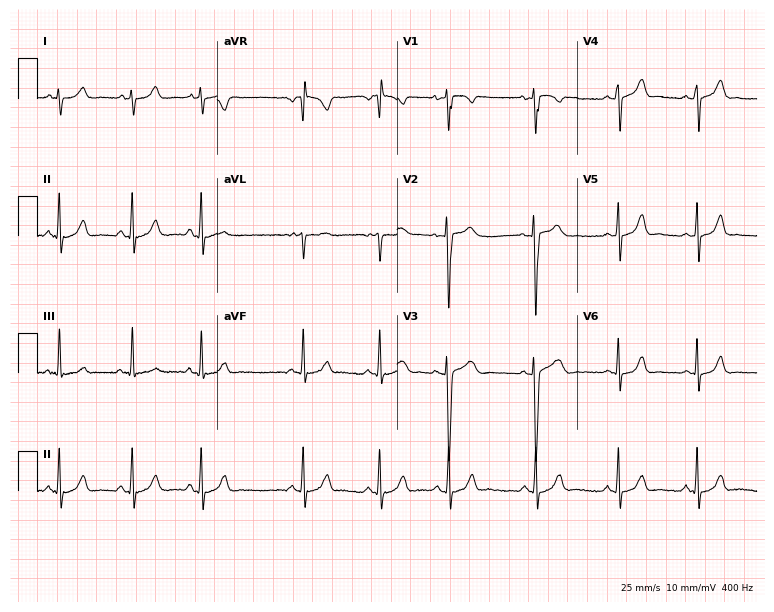
Standard 12-lead ECG recorded from a female, 21 years old (7.3-second recording at 400 Hz). Read as a normal ECG.